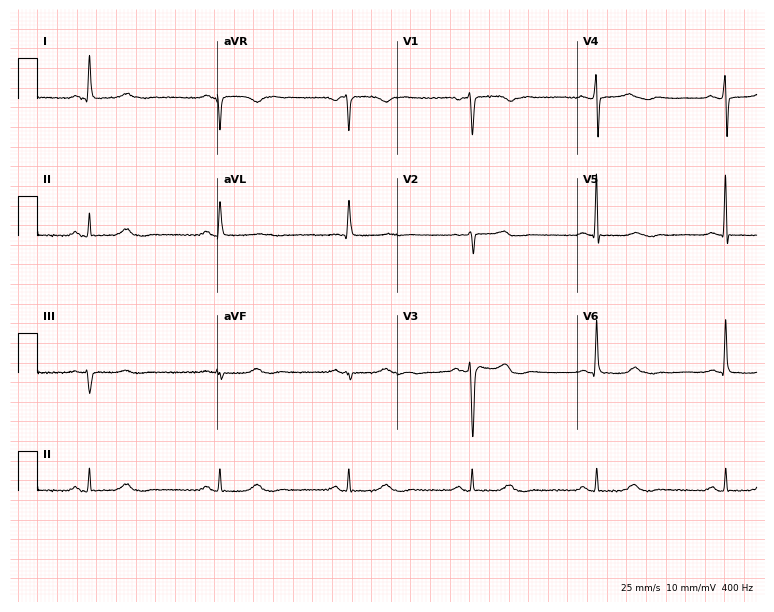
12-lead ECG from a female, 77 years old. Shows sinus bradycardia (a sinus rate of 50 beats per minute or less).